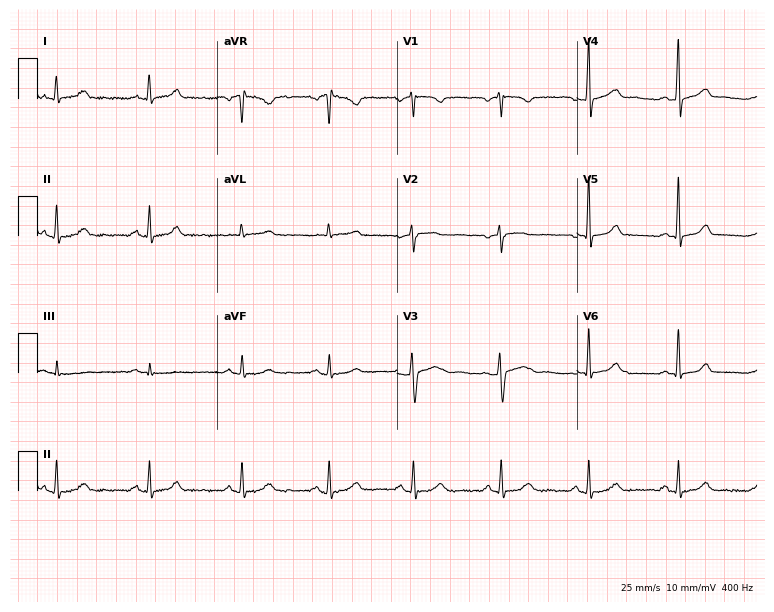
Standard 12-lead ECG recorded from a 66-year-old female. Read as a normal ECG.